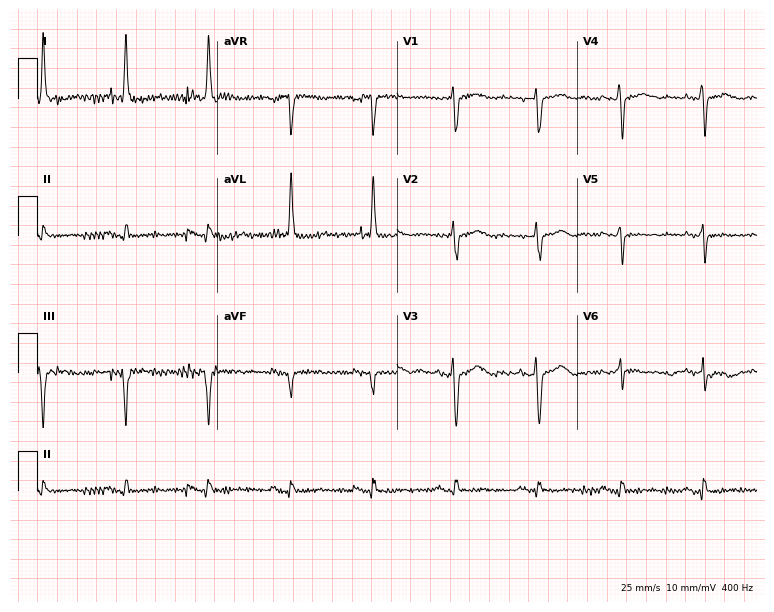
Standard 12-lead ECG recorded from a woman, 71 years old. None of these six findings is recorded: first-degree AV block, right bundle branch block (RBBB), left bundle branch block (LBBB), sinus bradycardia, atrial fibrillation (AF), sinus tachycardia.